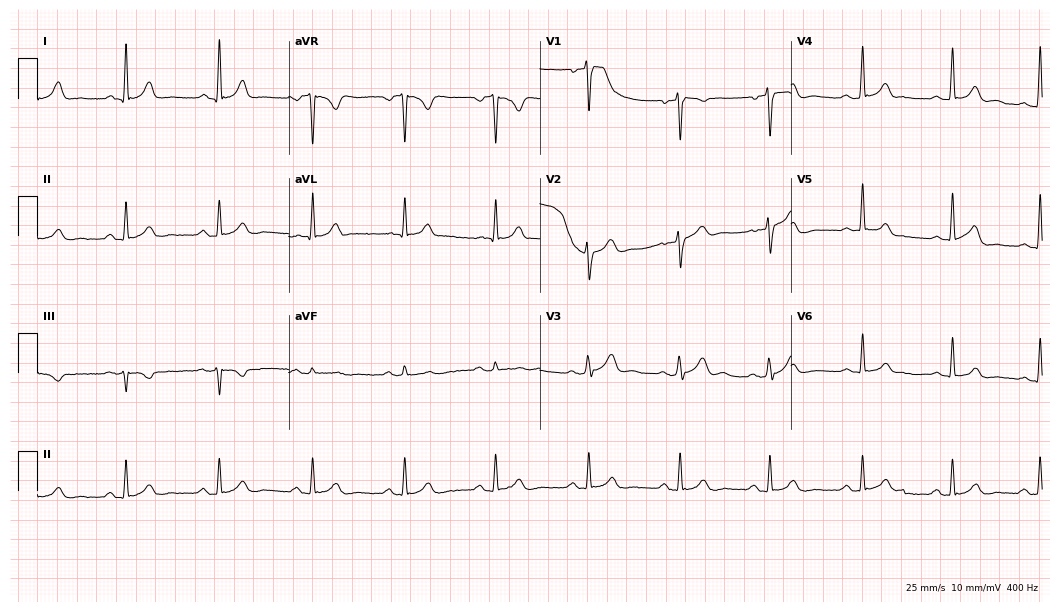
Resting 12-lead electrocardiogram (10.2-second recording at 400 Hz). Patient: a male, 38 years old. Read as a normal ECG.